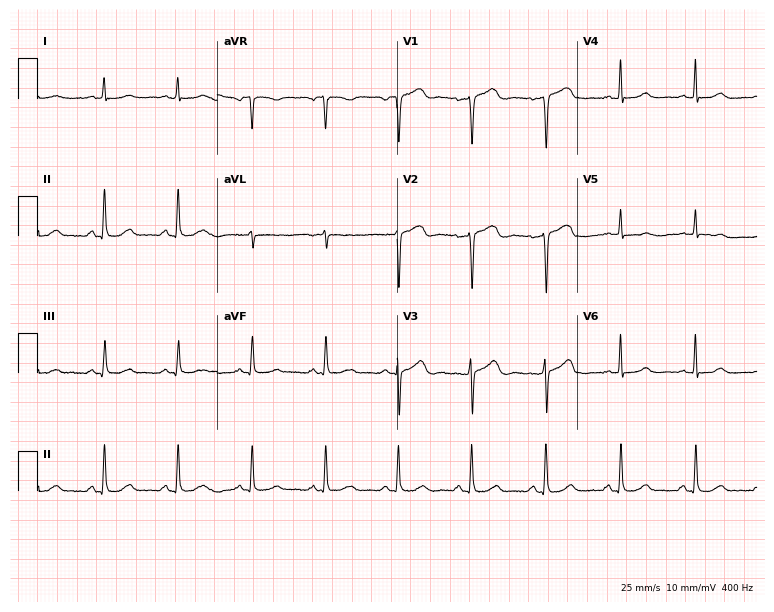
Standard 12-lead ECG recorded from a female patient, 67 years old. Read as a normal ECG.